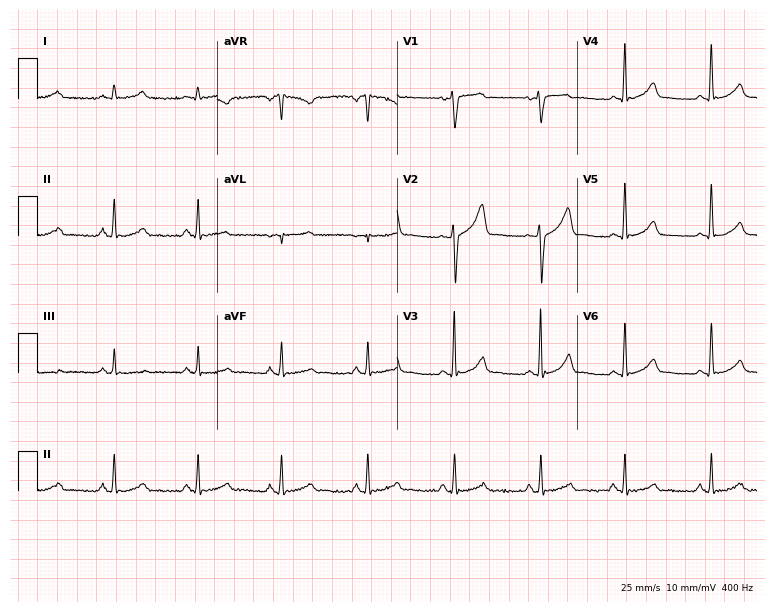
ECG — a man, 45 years old. Labelled as a normal ECG.